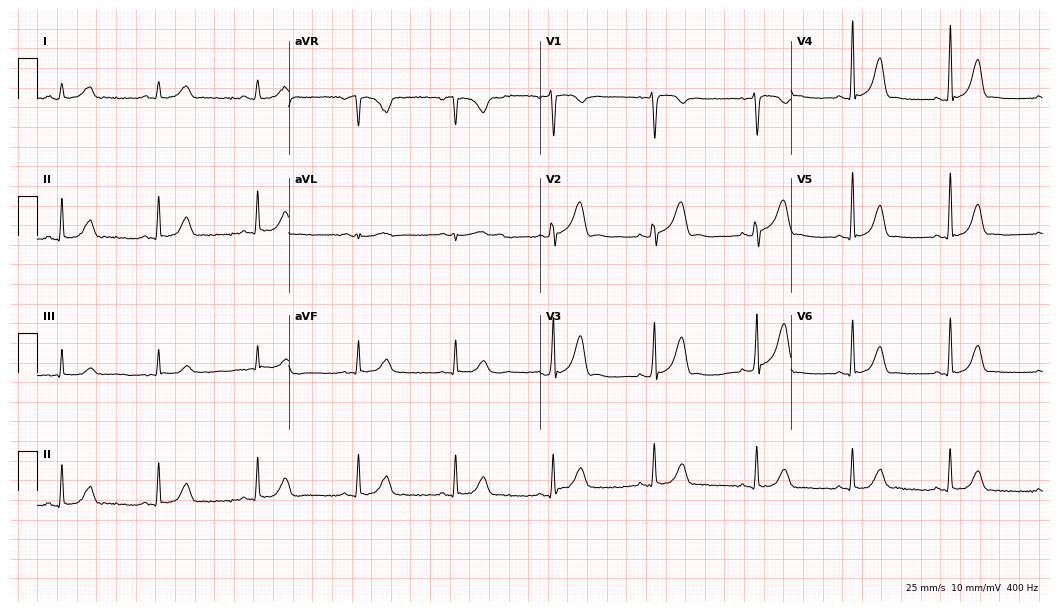
12-lead ECG (10.2-second recording at 400 Hz) from a 30-year-old female patient. Labelled as a normal ECG.